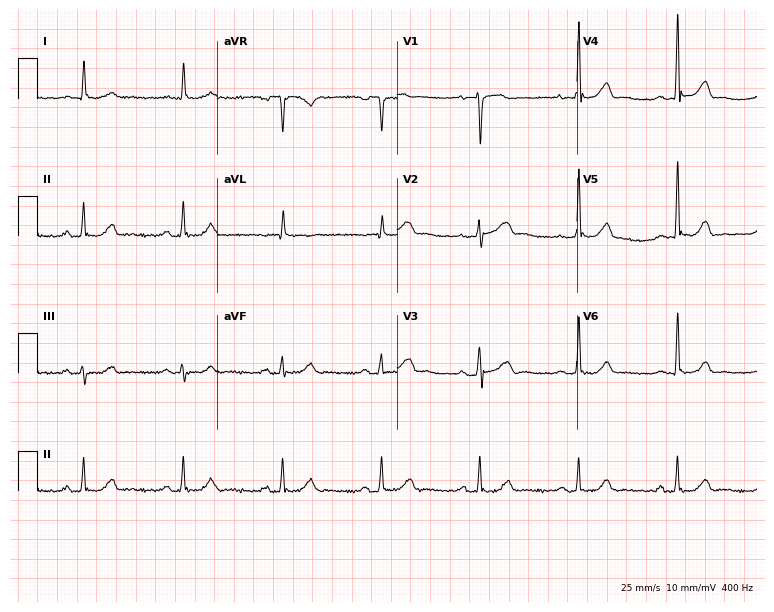
Resting 12-lead electrocardiogram (7.3-second recording at 400 Hz). Patient: a man, 79 years old. Read as a normal ECG.